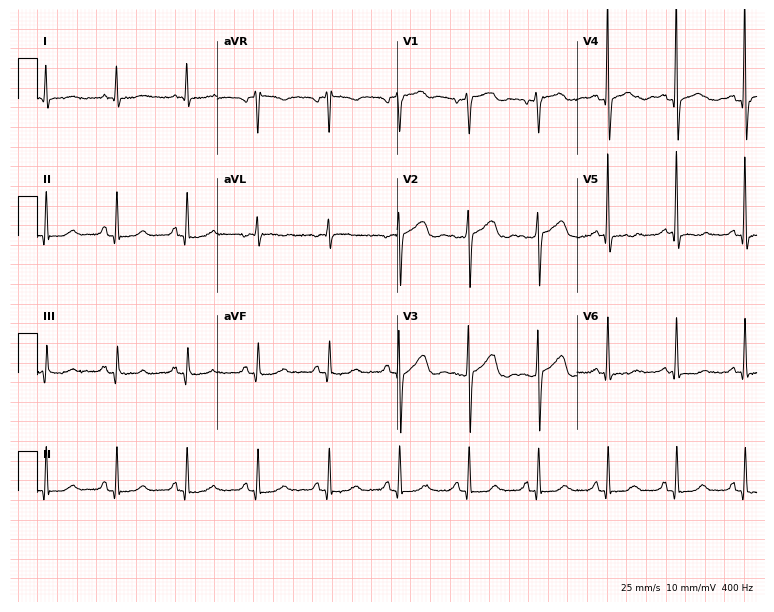
12-lead ECG from a man, 70 years old. No first-degree AV block, right bundle branch block, left bundle branch block, sinus bradycardia, atrial fibrillation or sinus tachycardia recorded for this tracing.